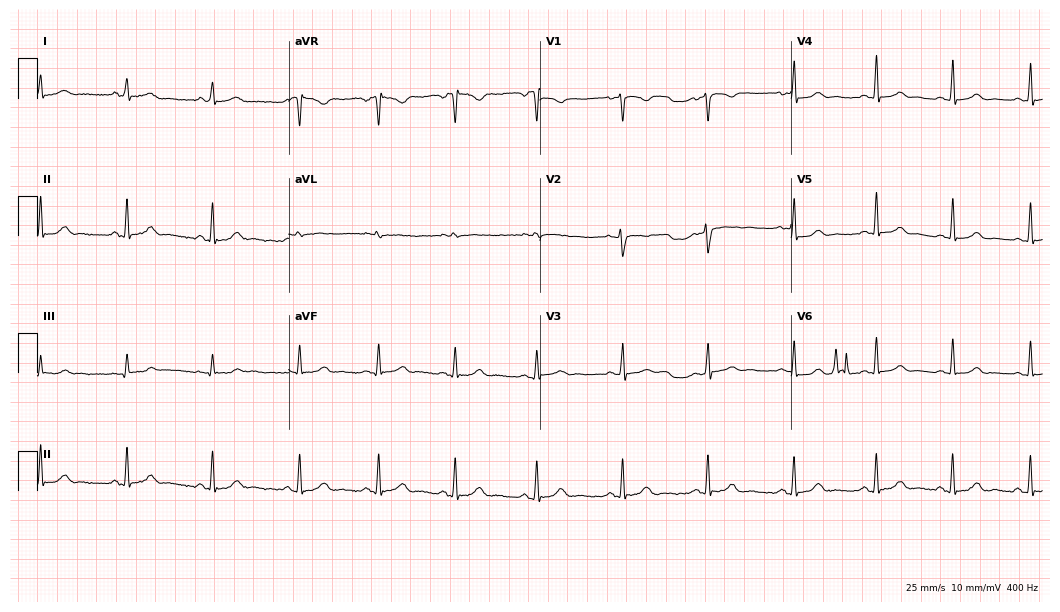
Electrocardiogram (10.2-second recording at 400 Hz), a woman, 25 years old. Overall reading on record: normal ECG.